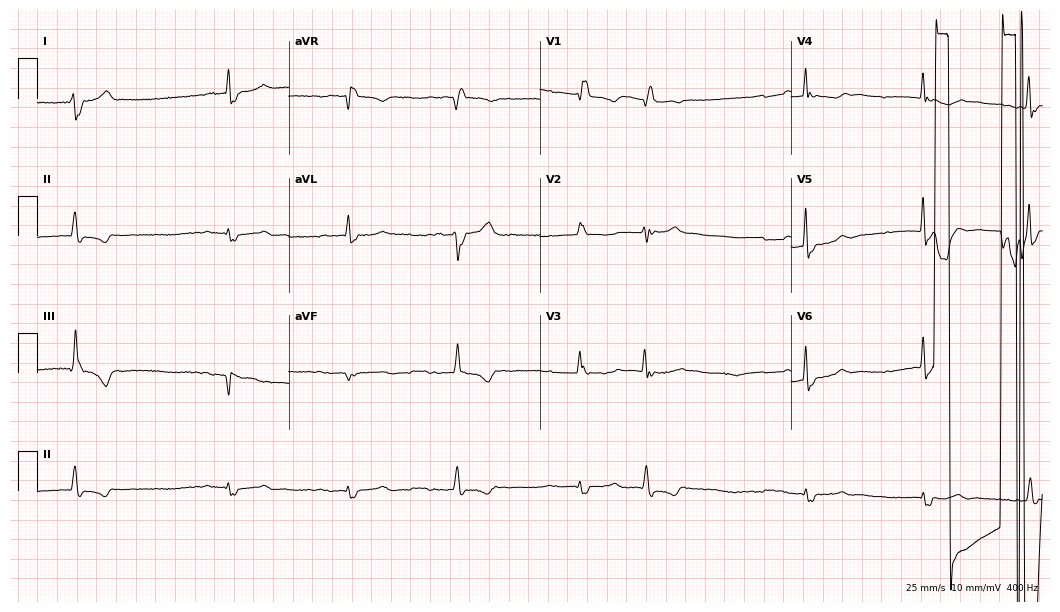
ECG — a 78-year-old male patient. Findings include right bundle branch block, atrial fibrillation.